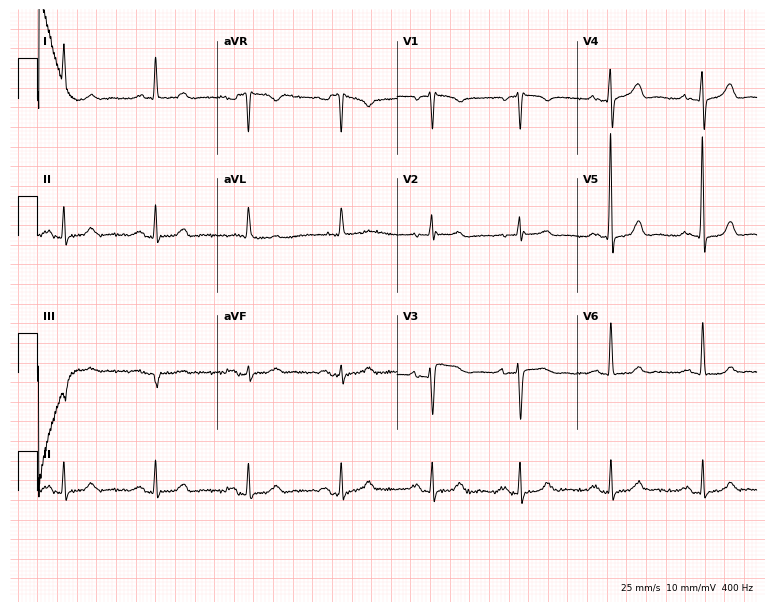
Resting 12-lead electrocardiogram (7.3-second recording at 400 Hz). Patient: a female, 81 years old. Read as a normal ECG.